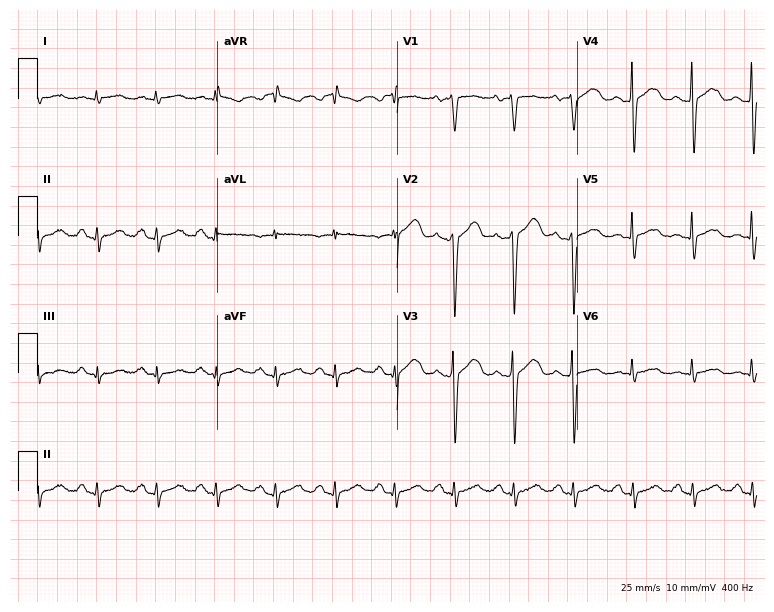
12-lead ECG from a 68-year-old male (7.3-second recording at 400 Hz). No first-degree AV block, right bundle branch block (RBBB), left bundle branch block (LBBB), sinus bradycardia, atrial fibrillation (AF) or sinus tachycardia recorded for this tracing. Other findings, if any, are not listed.